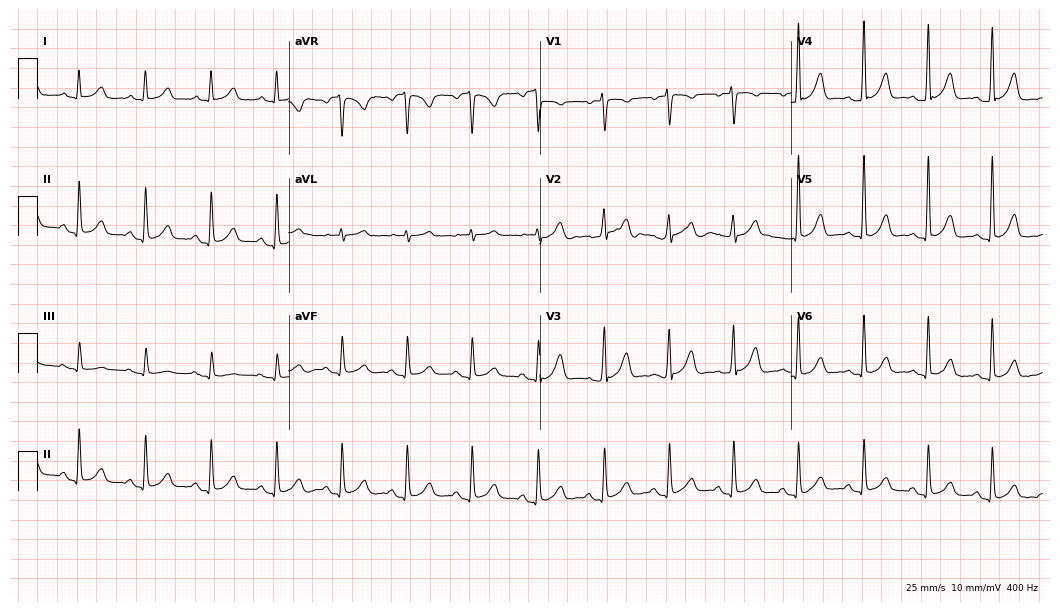
ECG — a 57-year-old female. Labelled as a normal ECG.